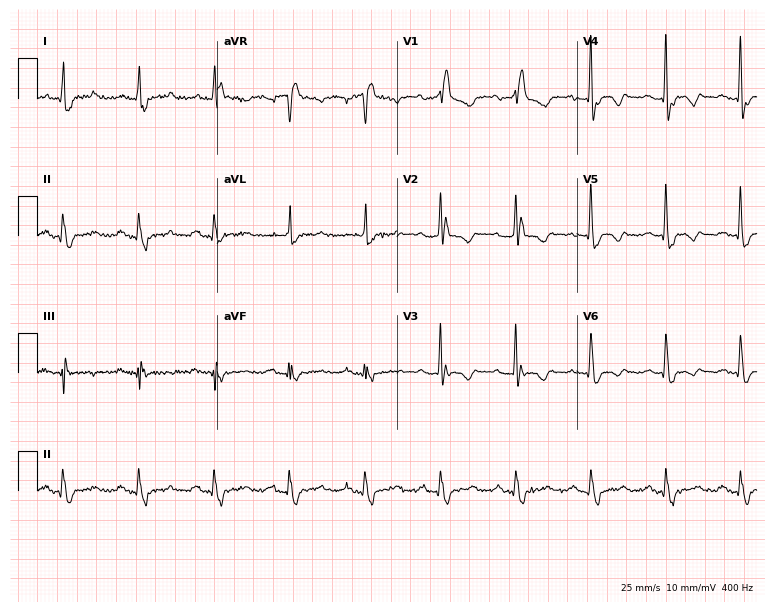
ECG — a 63-year-old woman. Findings include right bundle branch block.